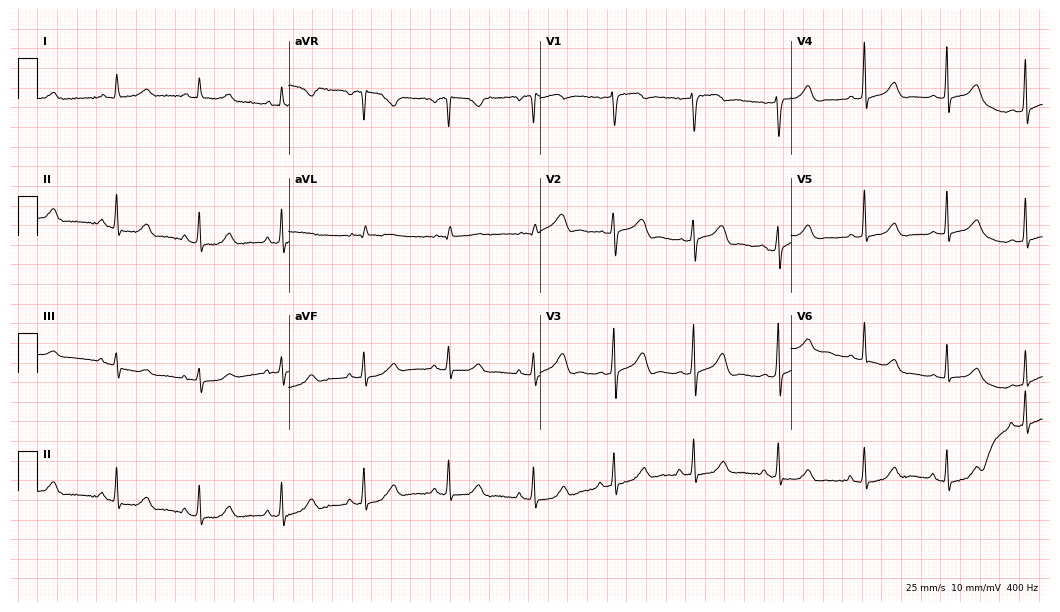
Standard 12-lead ECG recorded from a 45-year-old female. None of these six findings is recorded: first-degree AV block, right bundle branch block, left bundle branch block, sinus bradycardia, atrial fibrillation, sinus tachycardia.